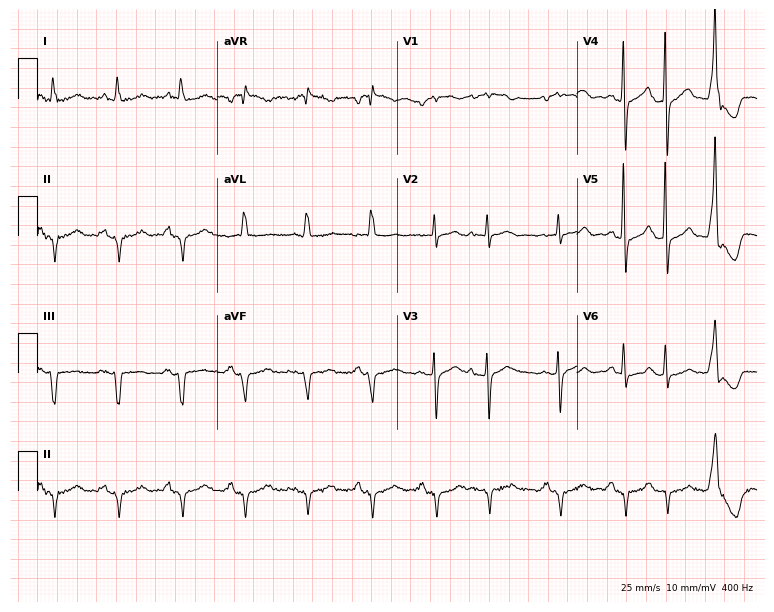
12-lead ECG (7.3-second recording at 400 Hz) from a man, 85 years old. Screened for six findings — first-degree AV block, right bundle branch block, left bundle branch block, sinus bradycardia, atrial fibrillation, sinus tachycardia — none is recorded. Findings outside these six are not listed.